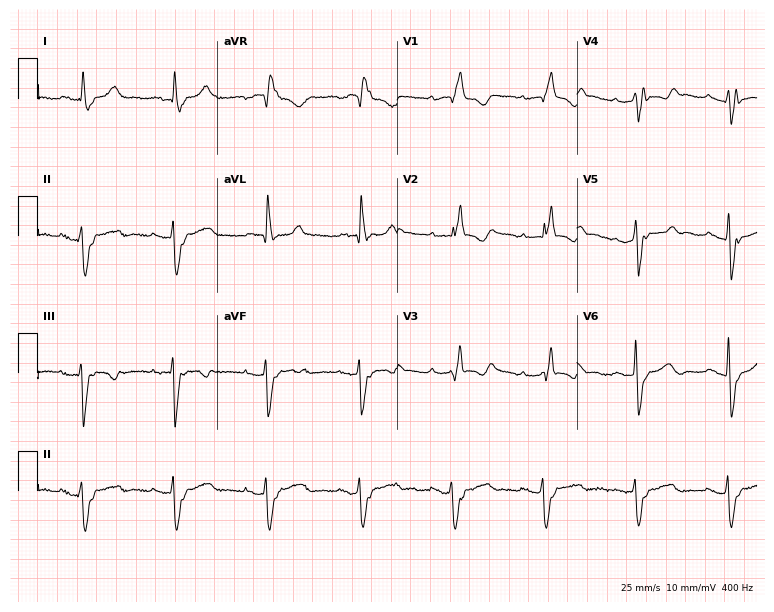
12-lead ECG from a woman, 71 years old (7.3-second recording at 400 Hz). Shows first-degree AV block, right bundle branch block.